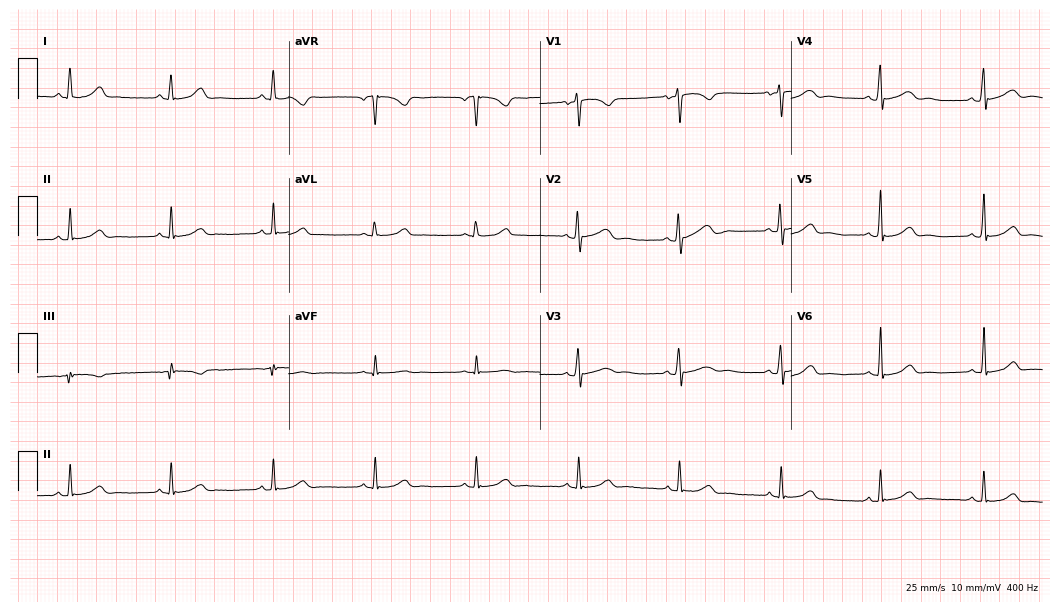
Resting 12-lead electrocardiogram. Patient: a female, 18 years old. None of these six findings is recorded: first-degree AV block, right bundle branch block, left bundle branch block, sinus bradycardia, atrial fibrillation, sinus tachycardia.